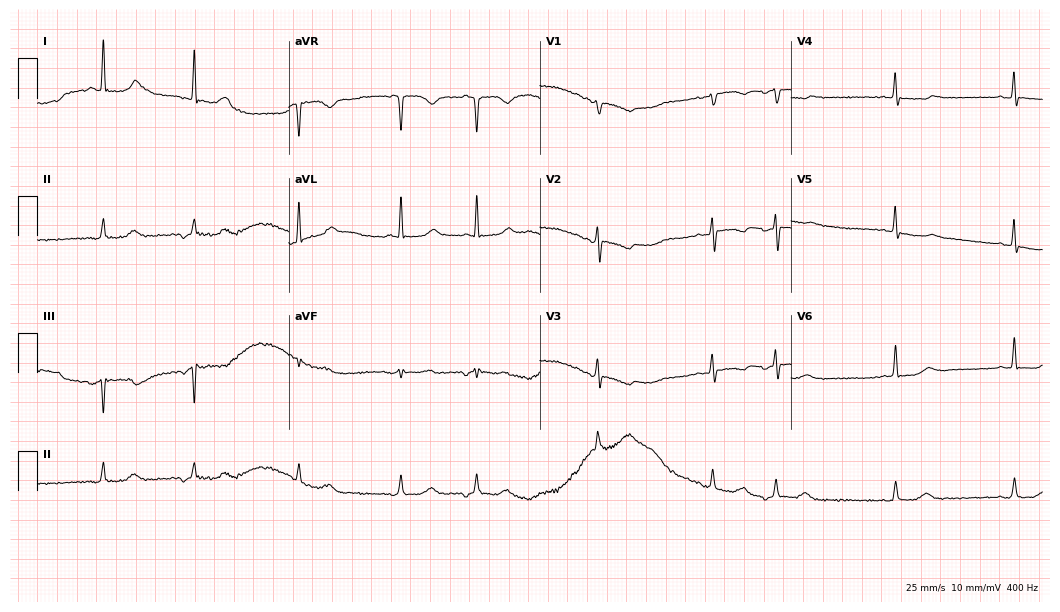
Electrocardiogram (10.2-second recording at 400 Hz), a male patient, 21 years old. Of the six screened findings (first-degree AV block, right bundle branch block, left bundle branch block, sinus bradycardia, atrial fibrillation, sinus tachycardia), none is recorded.